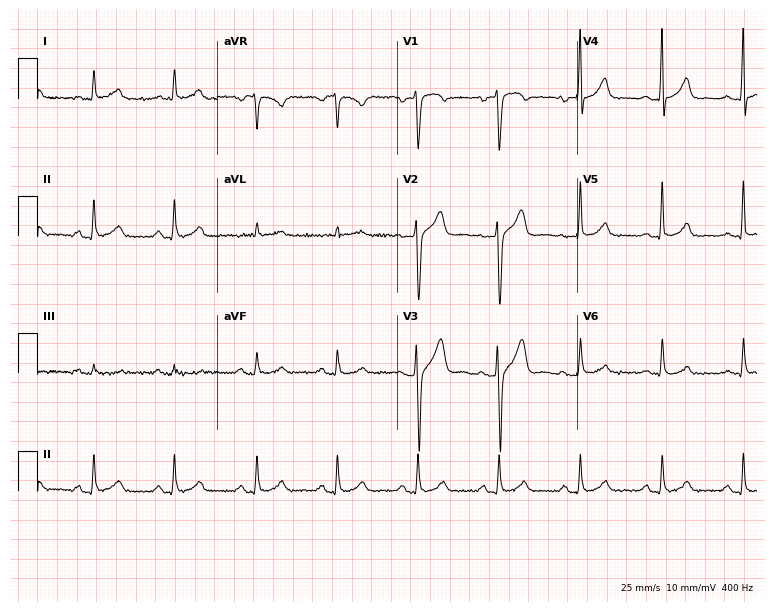
Resting 12-lead electrocardiogram (7.3-second recording at 400 Hz). Patient: a male, 46 years old. Read as a normal ECG.